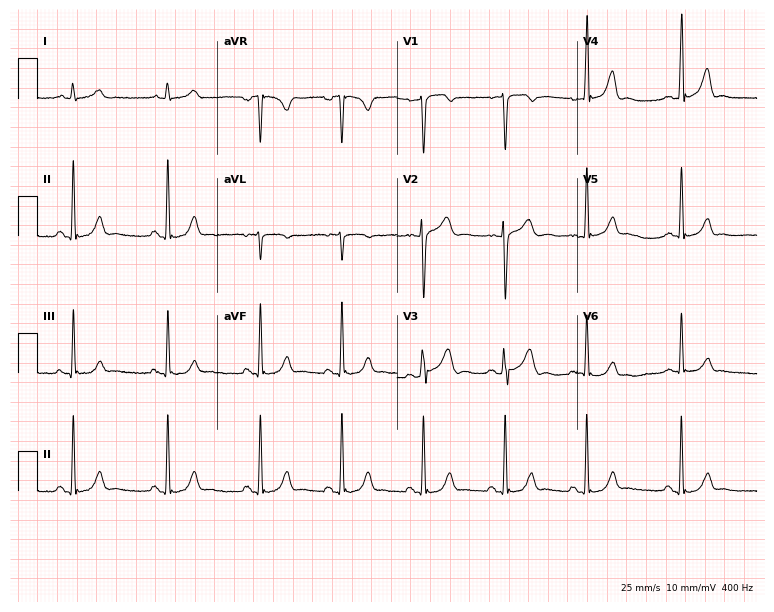
12-lead ECG from a 33-year-old man. Recorded interpretation: within normal limits.